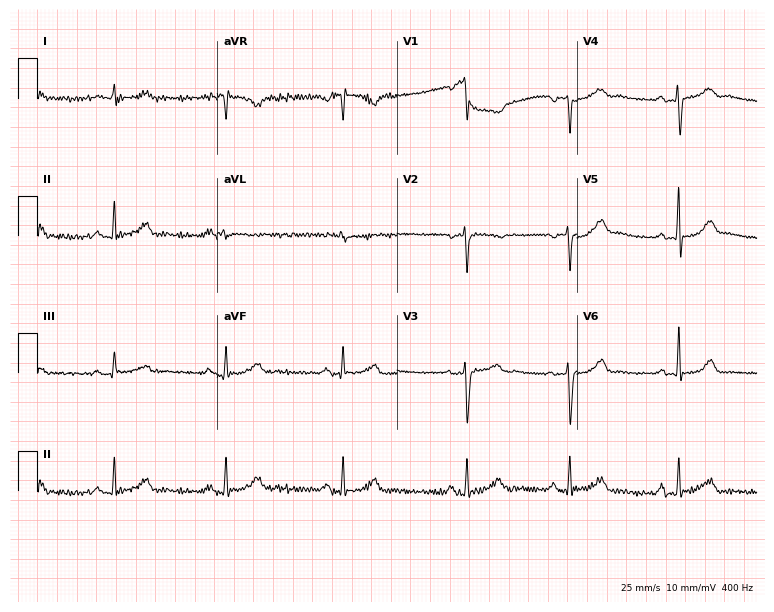
Electrocardiogram, a 19-year-old woman. Of the six screened findings (first-degree AV block, right bundle branch block (RBBB), left bundle branch block (LBBB), sinus bradycardia, atrial fibrillation (AF), sinus tachycardia), none is recorded. Other findings, if any, are not listed.